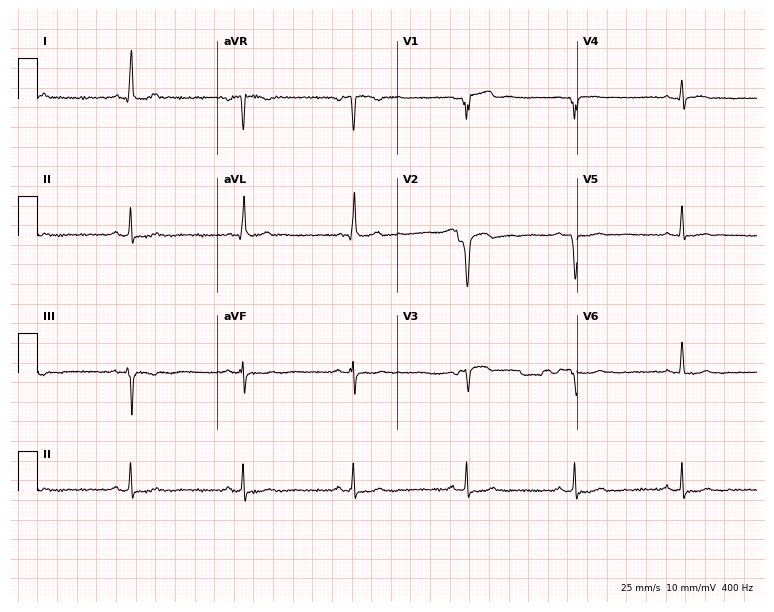
Standard 12-lead ECG recorded from a 51-year-old man. None of these six findings is recorded: first-degree AV block, right bundle branch block (RBBB), left bundle branch block (LBBB), sinus bradycardia, atrial fibrillation (AF), sinus tachycardia. Only these six findings were labelled.